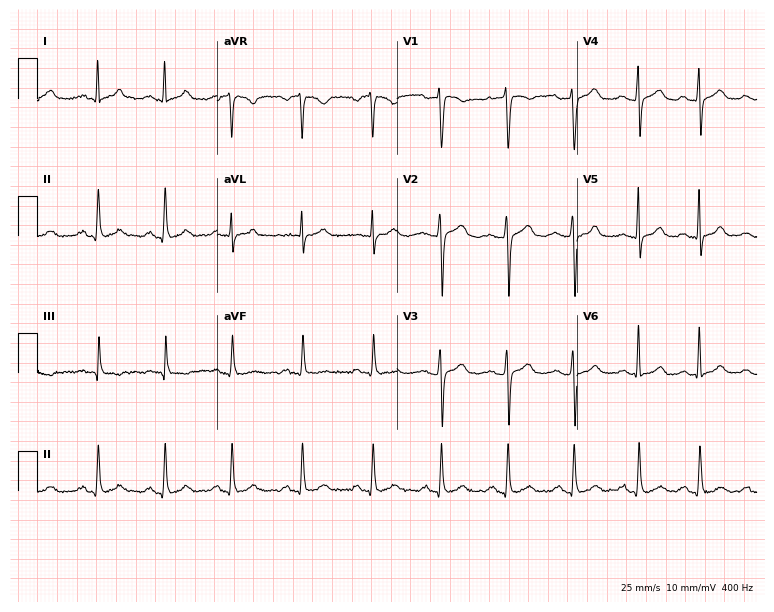
12-lead ECG from a 28-year-old female patient (7.3-second recording at 400 Hz). No first-degree AV block, right bundle branch block (RBBB), left bundle branch block (LBBB), sinus bradycardia, atrial fibrillation (AF) or sinus tachycardia recorded for this tracing.